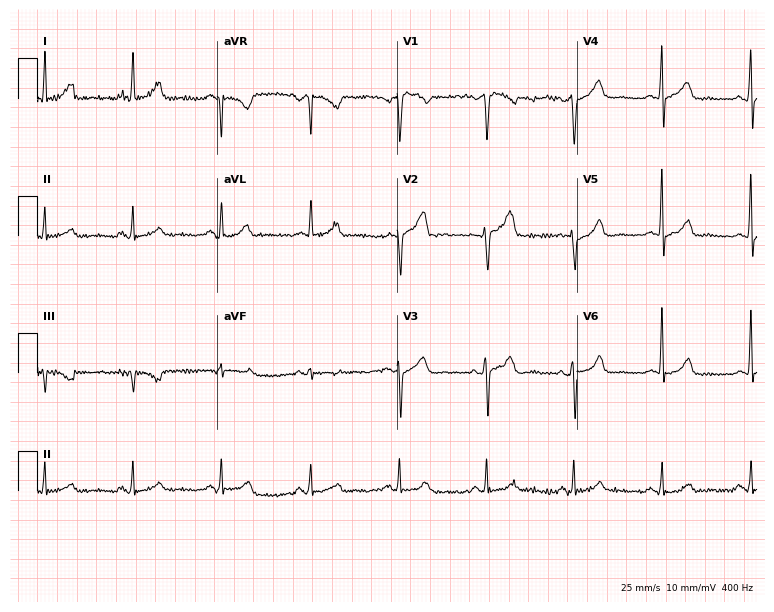
12-lead ECG from a 55-year-old man (7.3-second recording at 400 Hz). Recorded interpretation: within normal limits.